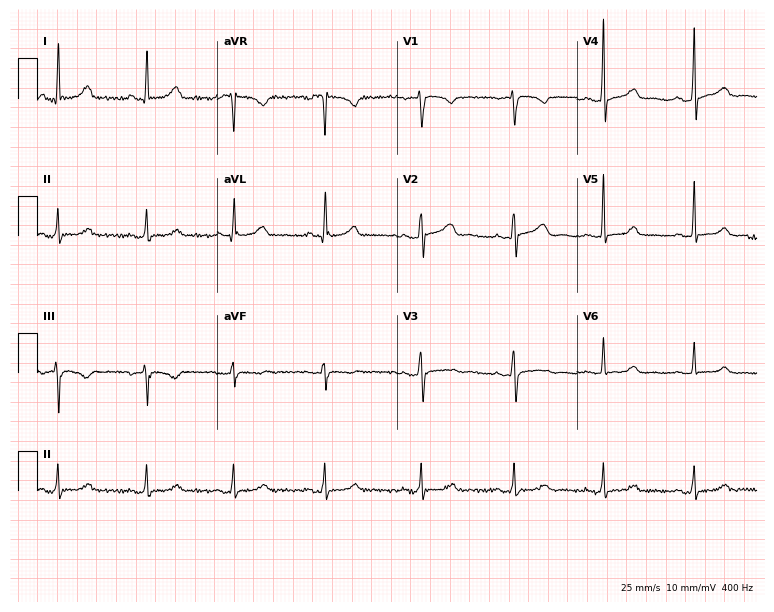
Standard 12-lead ECG recorded from a female patient, 50 years old (7.3-second recording at 400 Hz). Read as a normal ECG.